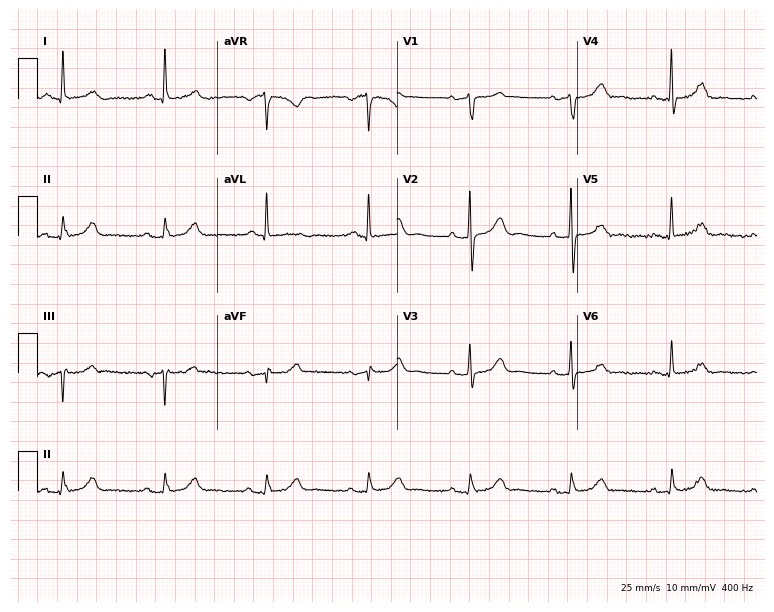
12-lead ECG from a male patient, 82 years old. Screened for six findings — first-degree AV block, right bundle branch block (RBBB), left bundle branch block (LBBB), sinus bradycardia, atrial fibrillation (AF), sinus tachycardia — none is recorded. Findings outside these six are not listed.